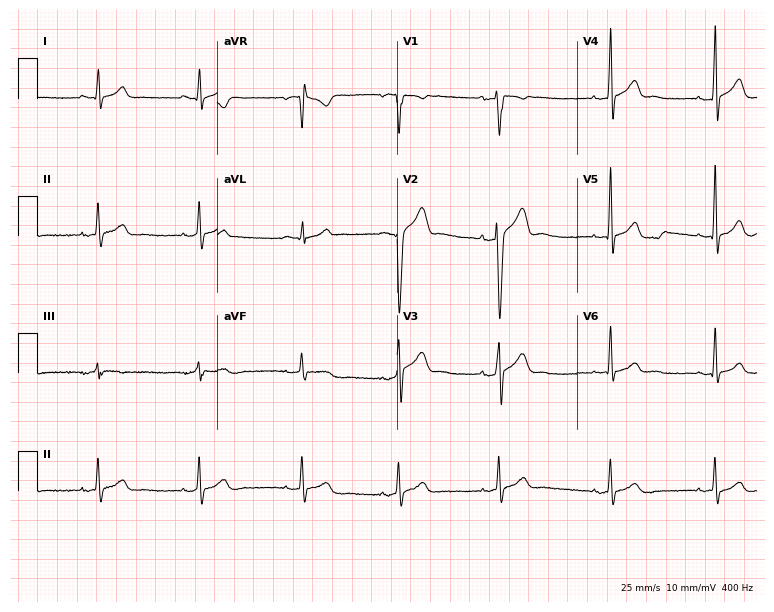
12-lead ECG from a man, 25 years old (7.3-second recording at 400 Hz). Recorded interpretation: within normal limits.